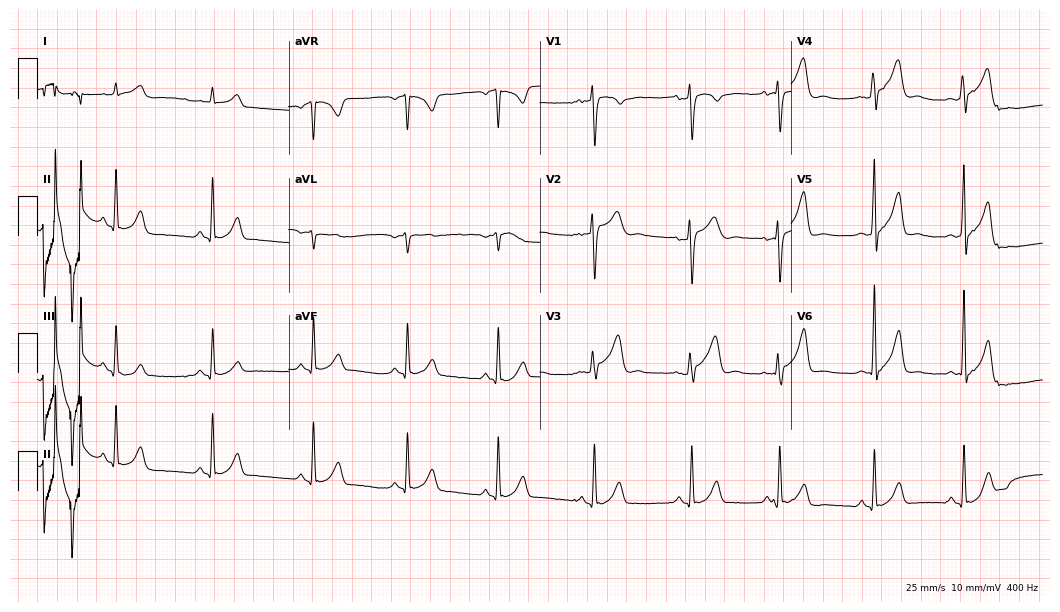
Electrocardiogram (10.2-second recording at 400 Hz), a 26-year-old male patient. Overall reading on record: normal ECG.